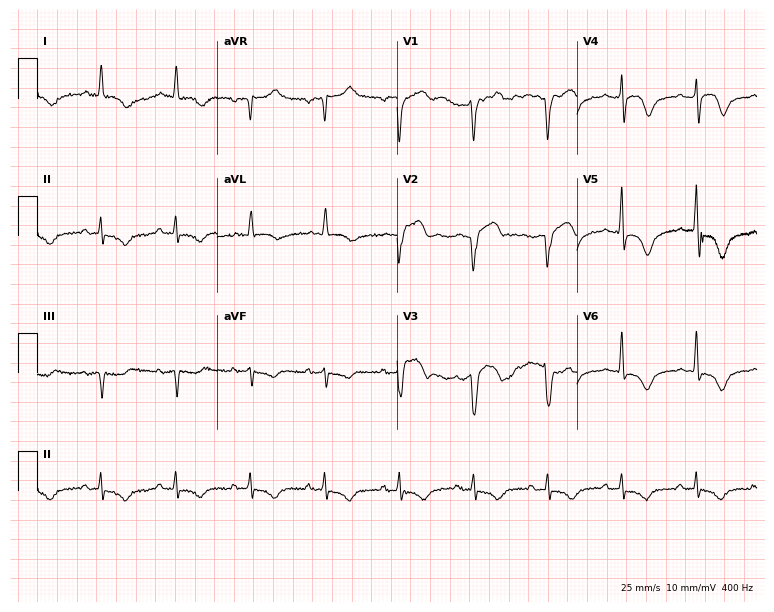
ECG — an 80-year-old man. Screened for six findings — first-degree AV block, right bundle branch block, left bundle branch block, sinus bradycardia, atrial fibrillation, sinus tachycardia — none is recorded.